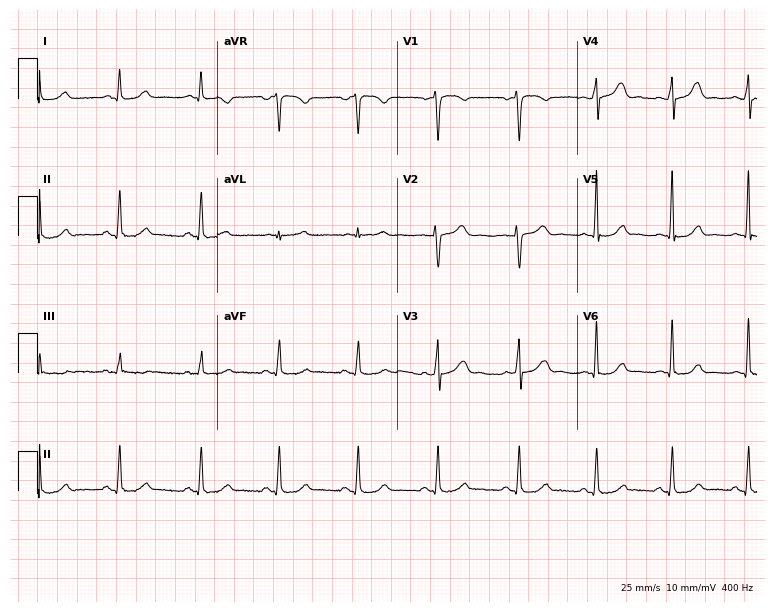
ECG (7.3-second recording at 400 Hz) — a 40-year-old female patient. Labelled as a normal ECG.